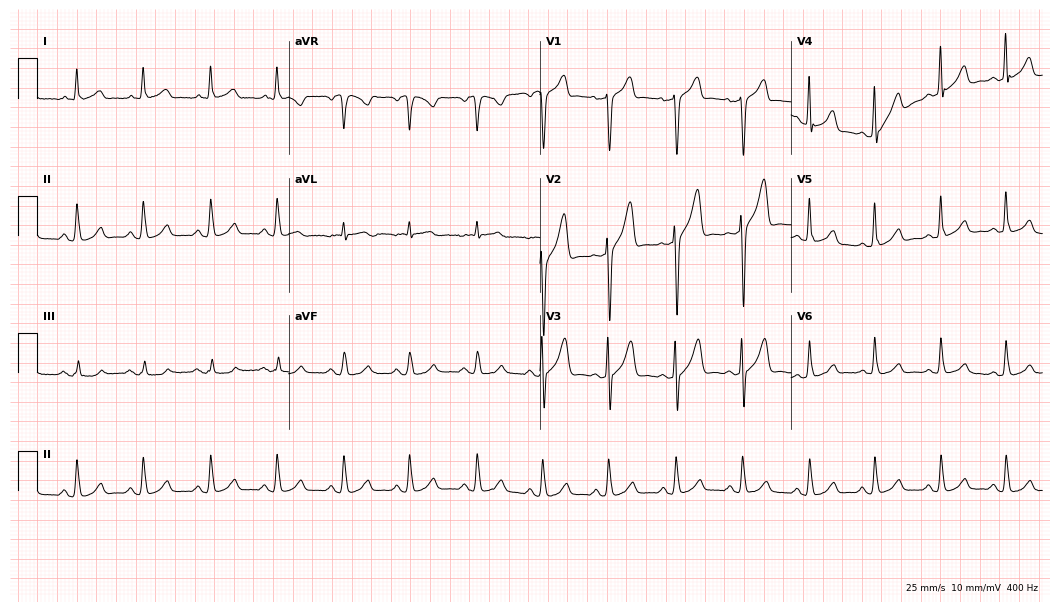
ECG — a 57-year-old man. Labelled as a normal ECG.